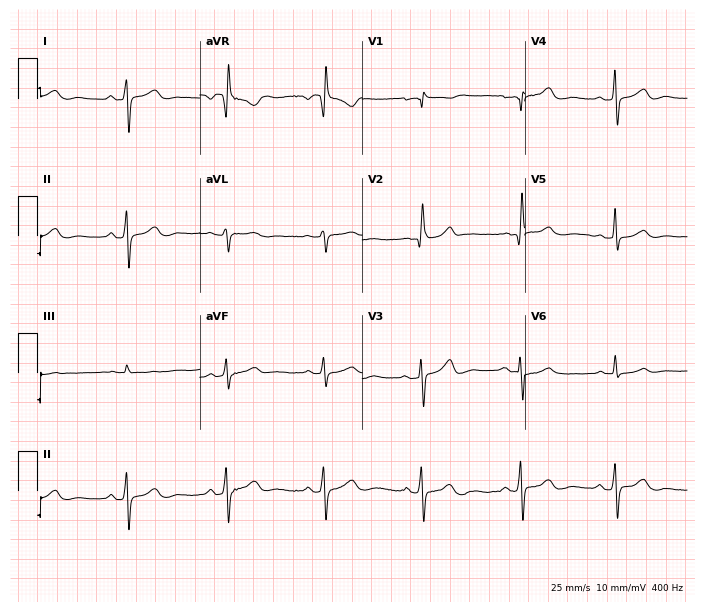
Resting 12-lead electrocardiogram. Patient: a 66-year-old female. None of these six findings is recorded: first-degree AV block, right bundle branch block, left bundle branch block, sinus bradycardia, atrial fibrillation, sinus tachycardia. Other findings, if any, are not listed.